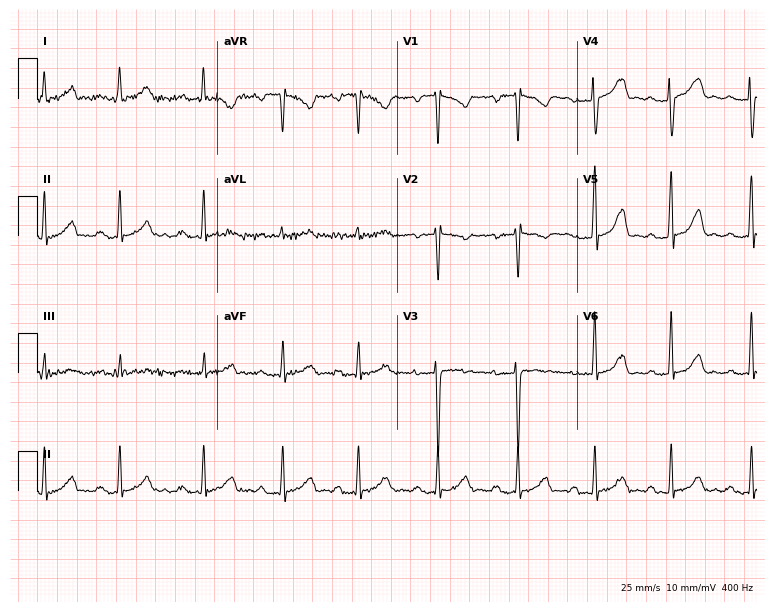
Resting 12-lead electrocardiogram (7.3-second recording at 400 Hz). Patient: a 36-year-old female. The tracing shows first-degree AV block.